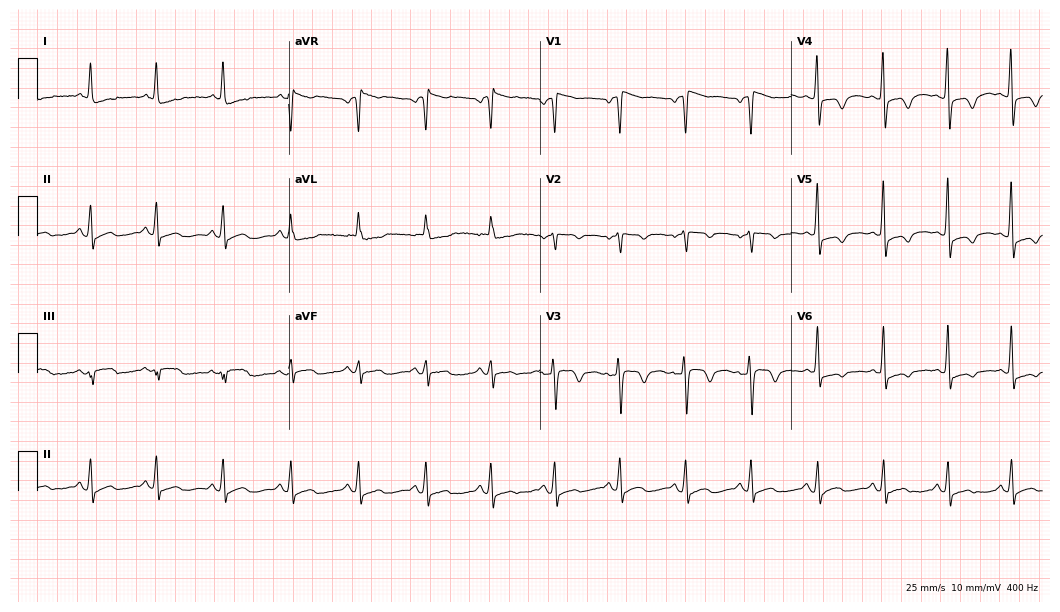
ECG (10.2-second recording at 400 Hz) — a female, 67 years old. Screened for six findings — first-degree AV block, right bundle branch block (RBBB), left bundle branch block (LBBB), sinus bradycardia, atrial fibrillation (AF), sinus tachycardia — none is recorded. Findings outside these six are not listed.